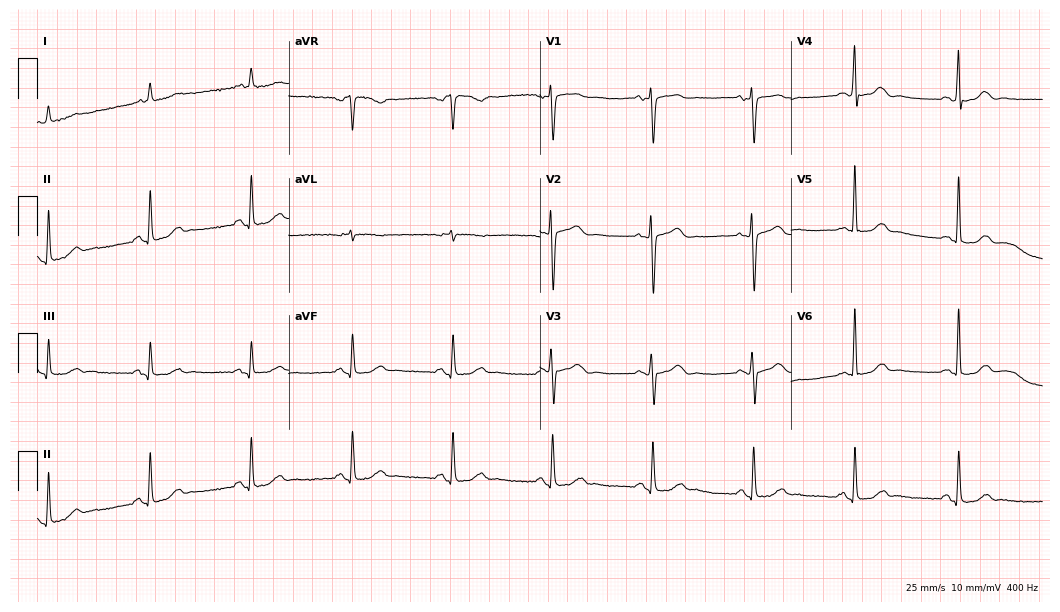
ECG (10.2-second recording at 400 Hz) — a 71-year-old female patient. Labelled as a normal ECG.